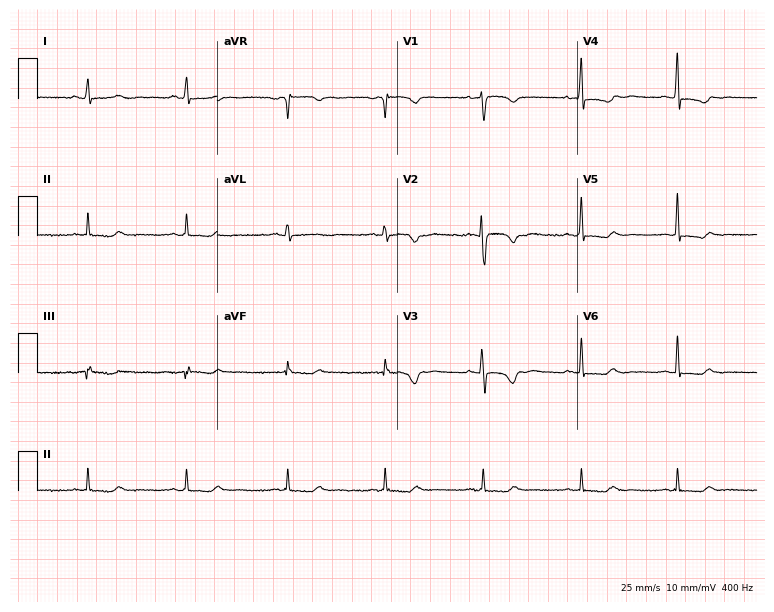
Resting 12-lead electrocardiogram (7.3-second recording at 400 Hz). Patient: a 52-year-old woman. None of these six findings is recorded: first-degree AV block, right bundle branch block (RBBB), left bundle branch block (LBBB), sinus bradycardia, atrial fibrillation (AF), sinus tachycardia.